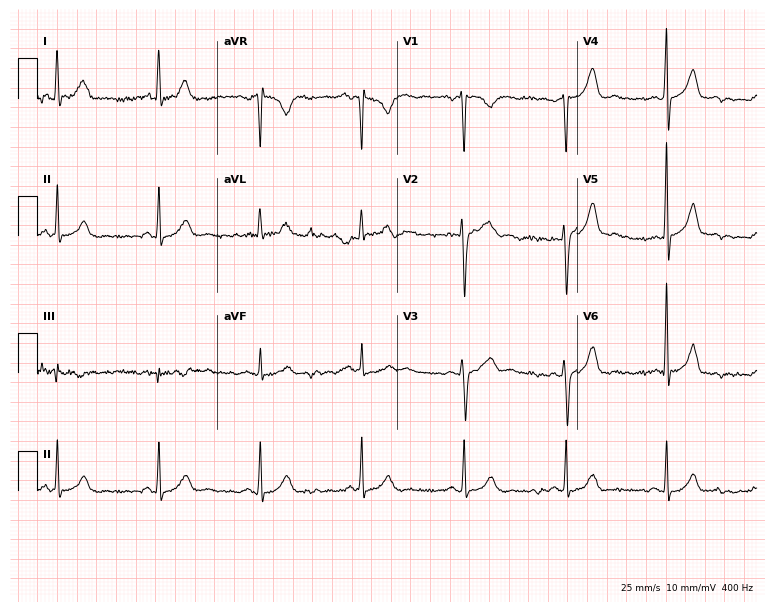
12-lead ECG from a 50-year-old male. Labelled as a normal ECG.